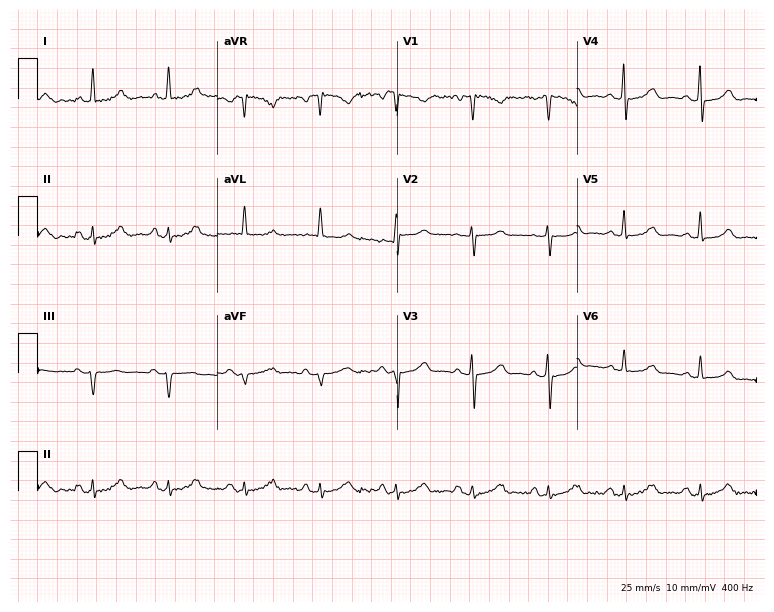
12-lead ECG from a female patient, 67 years old. No first-degree AV block, right bundle branch block, left bundle branch block, sinus bradycardia, atrial fibrillation or sinus tachycardia recorded for this tracing.